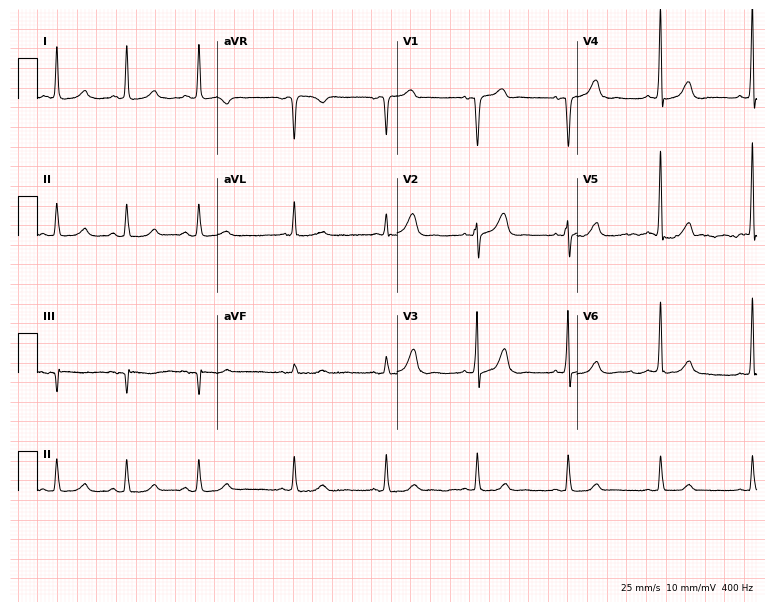
12-lead ECG from a woman, 83 years old. No first-degree AV block, right bundle branch block (RBBB), left bundle branch block (LBBB), sinus bradycardia, atrial fibrillation (AF) or sinus tachycardia recorded for this tracing.